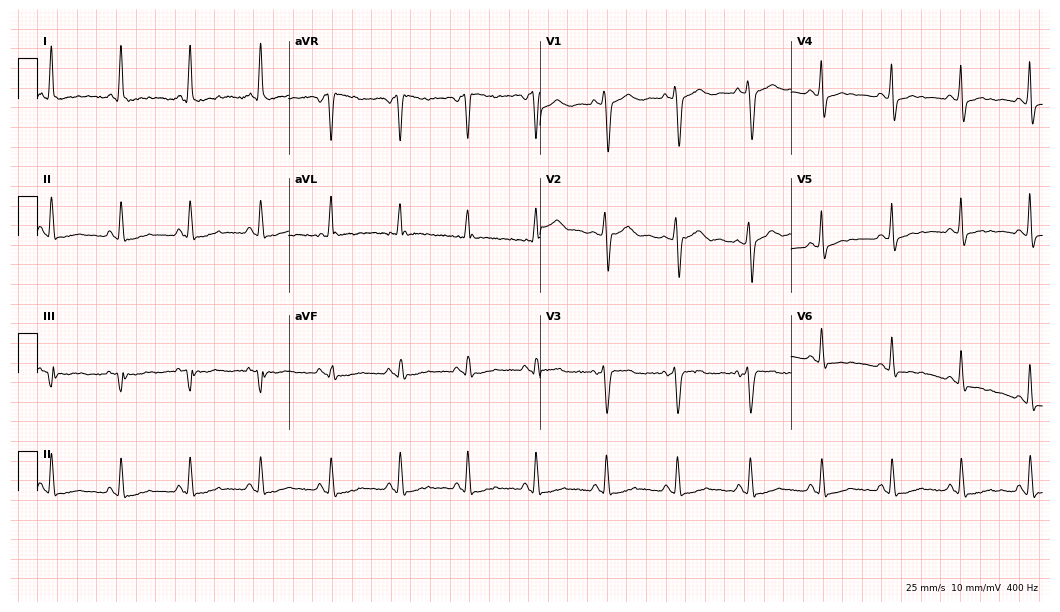
Standard 12-lead ECG recorded from a 40-year-old female (10.2-second recording at 400 Hz). None of these six findings is recorded: first-degree AV block, right bundle branch block, left bundle branch block, sinus bradycardia, atrial fibrillation, sinus tachycardia. Other findings, if any, are not listed.